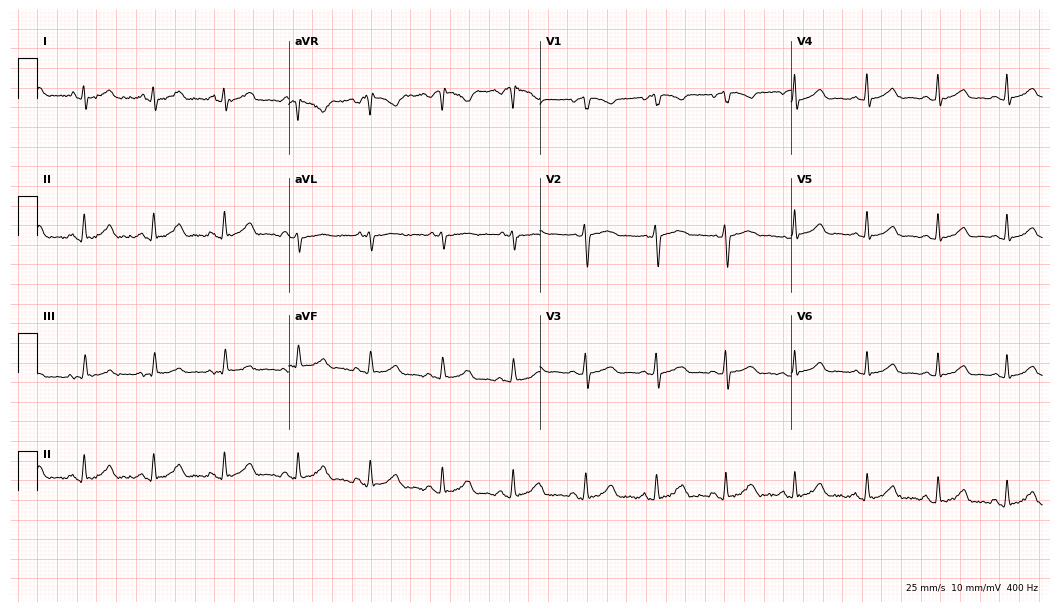
12-lead ECG from a female patient, 35 years old. Labelled as a normal ECG.